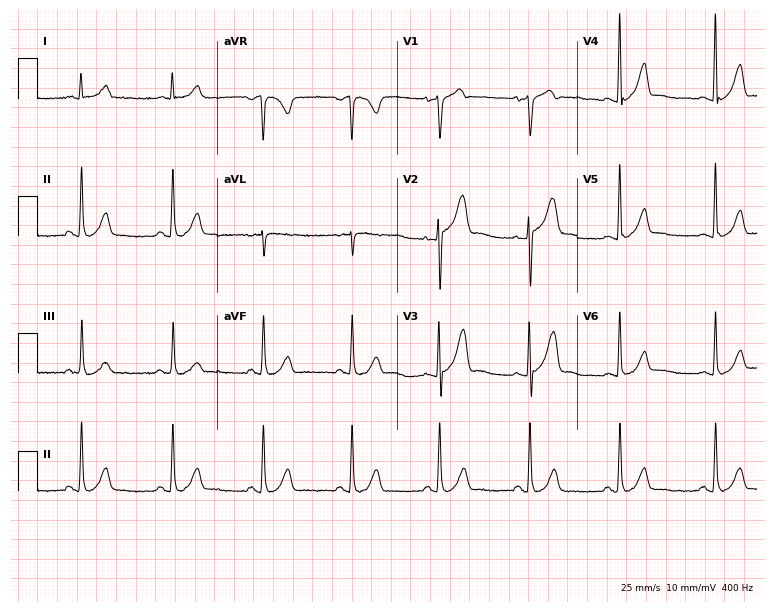
Electrocardiogram (7.3-second recording at 400 Hz), a 45-year-old male patient. Overall reading on record: normal ECG.